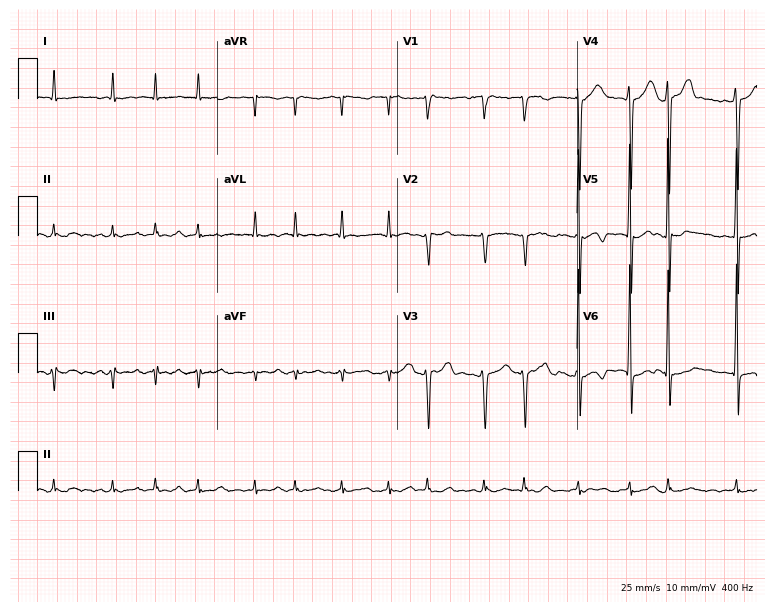
ECG — a 71-year-old male patient. Findings include atrial fibrillation.